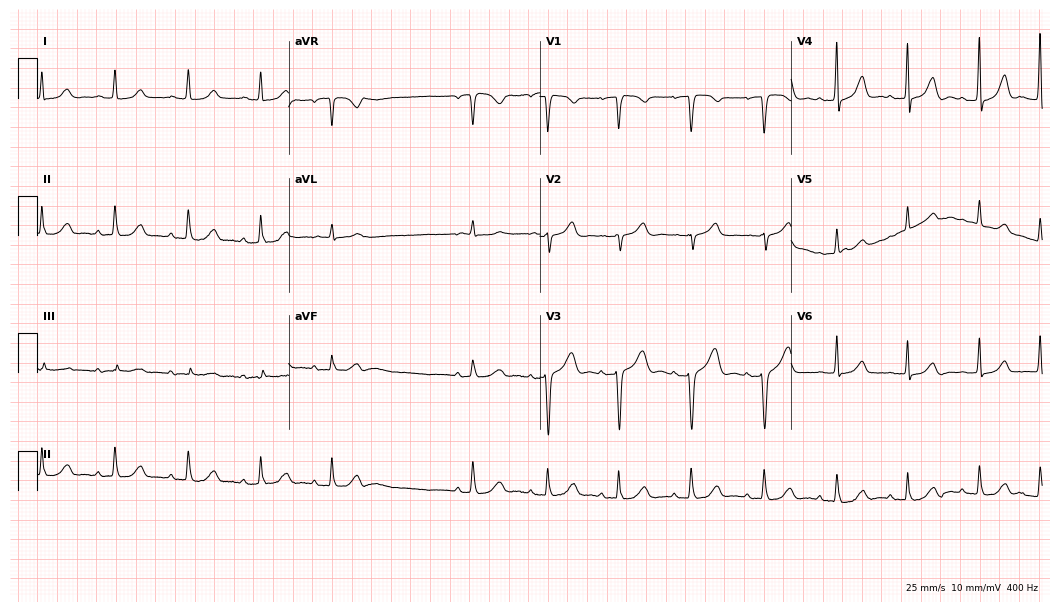
Electrocardiogram (10.2-second recording at 400 Hz), a woman, 78 years old. Of the six screened findings (first-degree AV block, right bundle branch block, left bundle branch block, sinus bradycardia, atrial fibrillation, sinus tachycardia), none is recorded. Other findings, if any, are not listed.